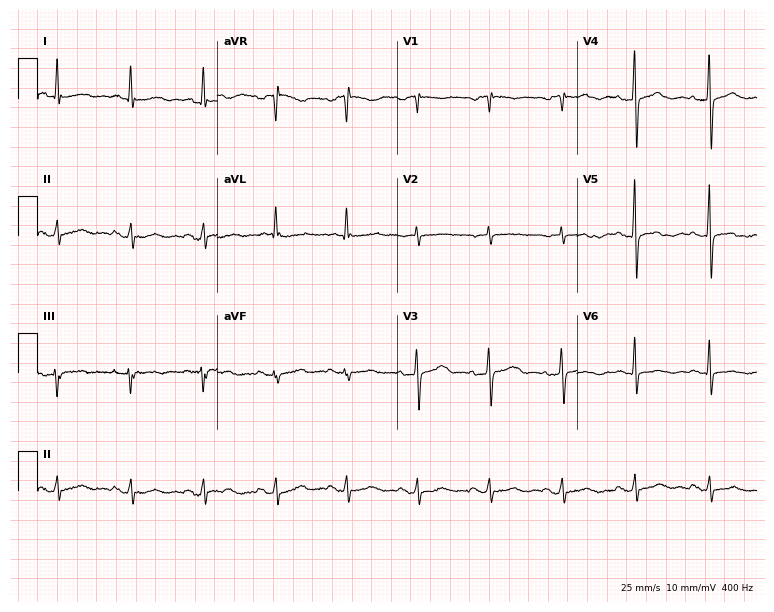
Resting 12-lead electrocardiogram (7.3-second recording at 400 Hz). Patient: a 78-year-old female. Read as a normal ECG.